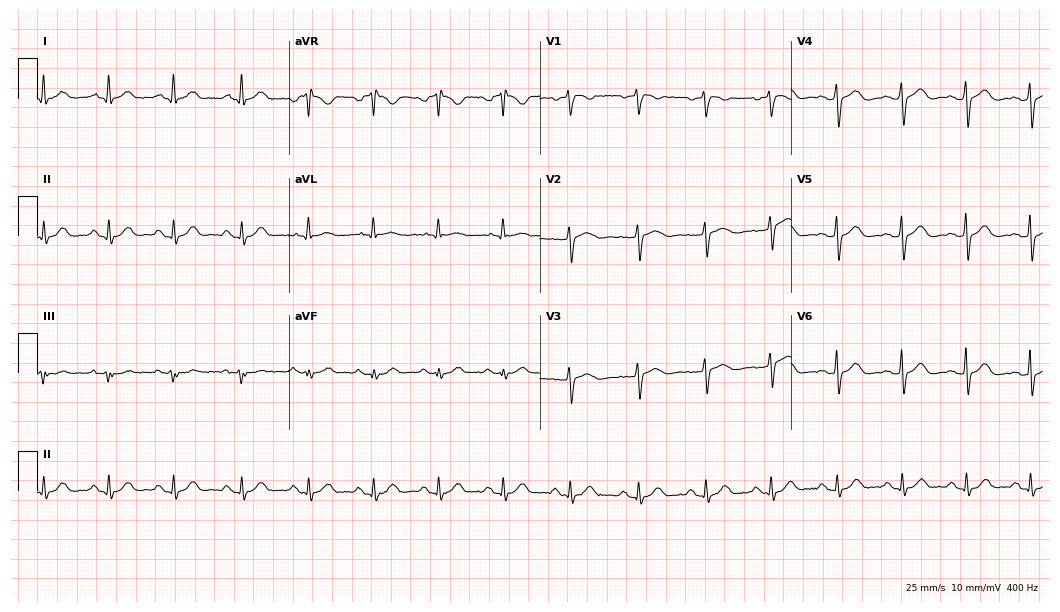
12-lead ECG (10.2-second recording at 400 Hz) from a female patient, 48 years old. Screened for six findings — first-degree AV block, right bundle branch block (RBBB), left bundle branch block (LBBB), sinus bradycardia, atrial fibrillation (AF), sinus tachycardia — none is recorded.